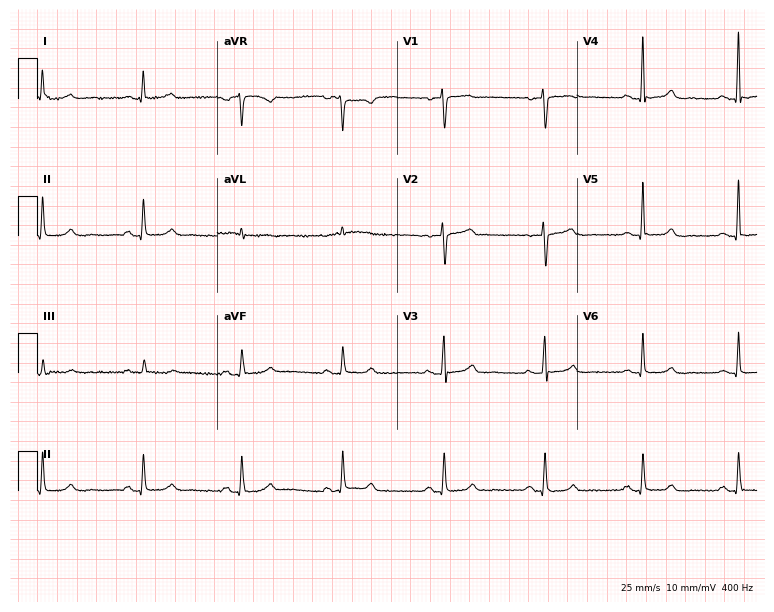
Resting 12-lead electrocardiogram. Patient: a female, 58 years old. Read as a normal ECG.